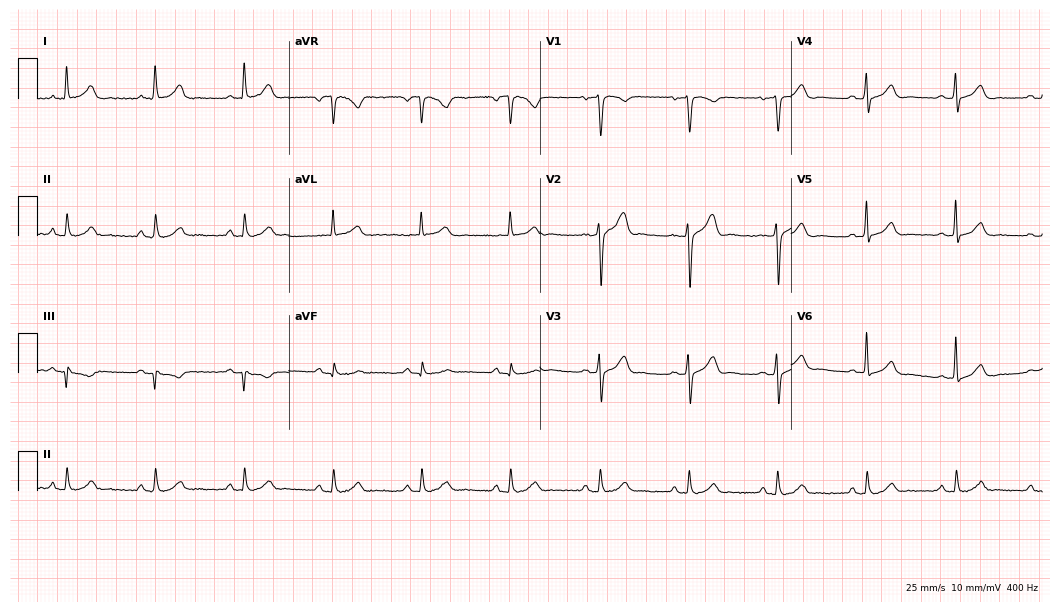
Standard 12-lead ECG recorded from a 58-year-old male patient (10.2-second recording at 400 Hz). None of these six findings is recorded: first-degree AV block, right bundle branch block (RBBB), left bundle branch block (LBBB), sinus bradycardia, atrial fibrillation (AF), sinus tachycardia. Other findings, if any, are not listed.